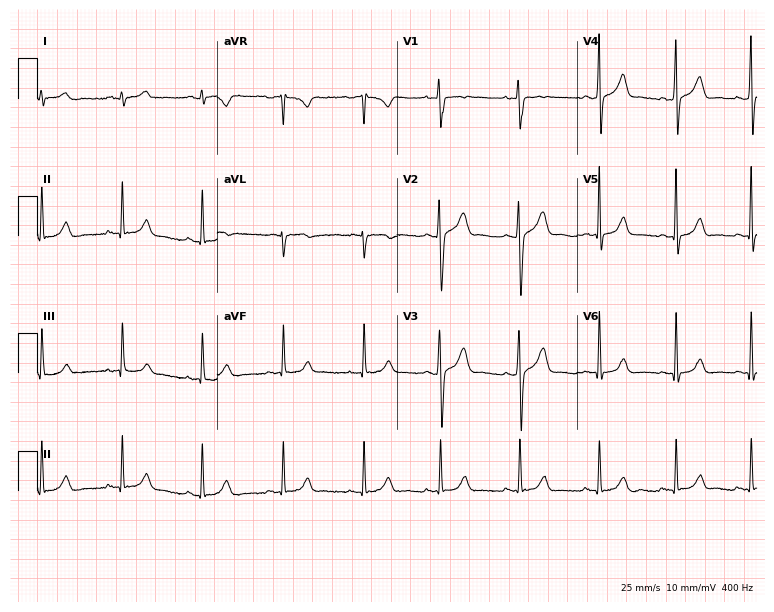
12-lead ECG (7.3-second recording at 400 Hz) from a man, 24 years old. Labelled as a normal ECG.